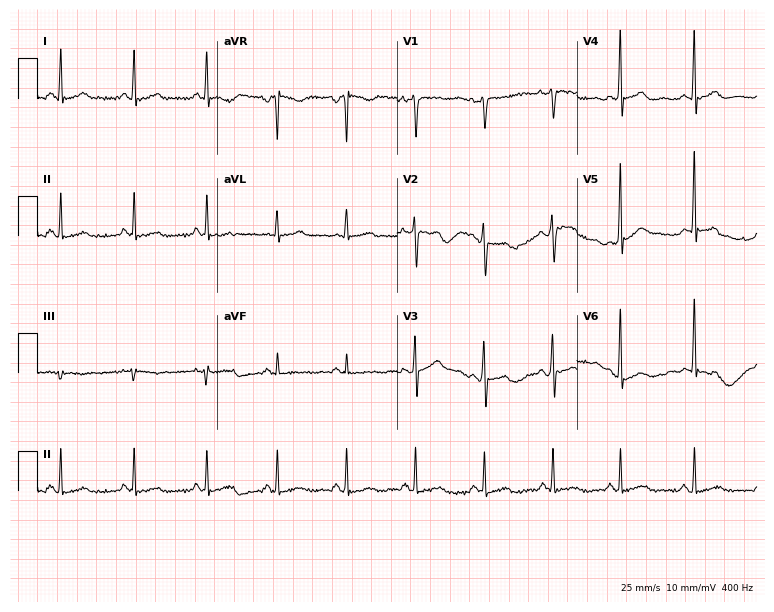
Electrocardiogram, a female, 45 years old. Overall reading on record: normal ECG.